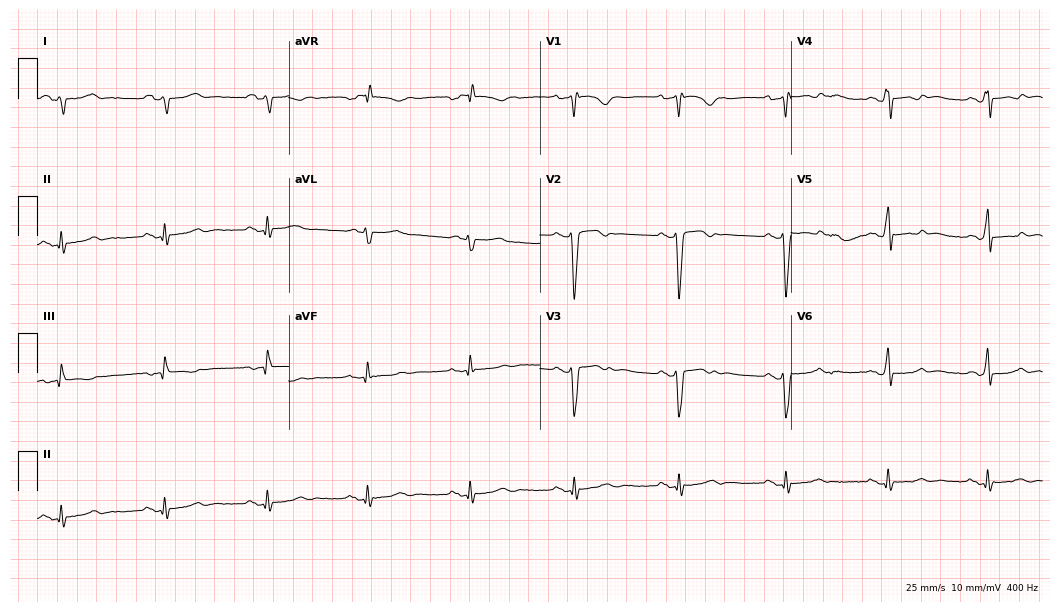
Electrocardiogram (10.2-second recording at 400 Hz), a 51-year-old female patient. Of the six screened findings (first-degree AV block, right bundle branch block (RBBB), left bundle branch block (LBBB), sinus bradycardia, atrial fibrillation (AF), sinus tachycardia), none is recorded. Findings outside these six are not listed.